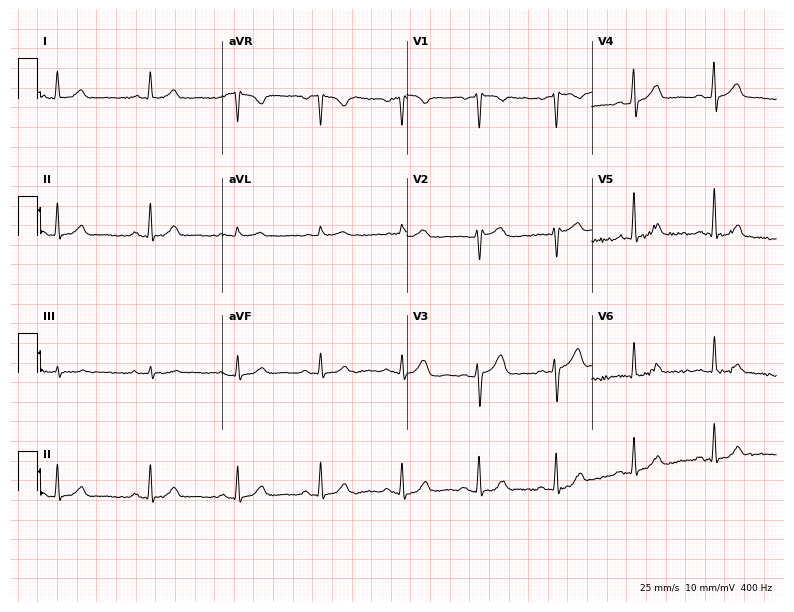
Resting 12-lead electrocardiogram. Patient: a man, 45 years old. Read as a normal ECG.